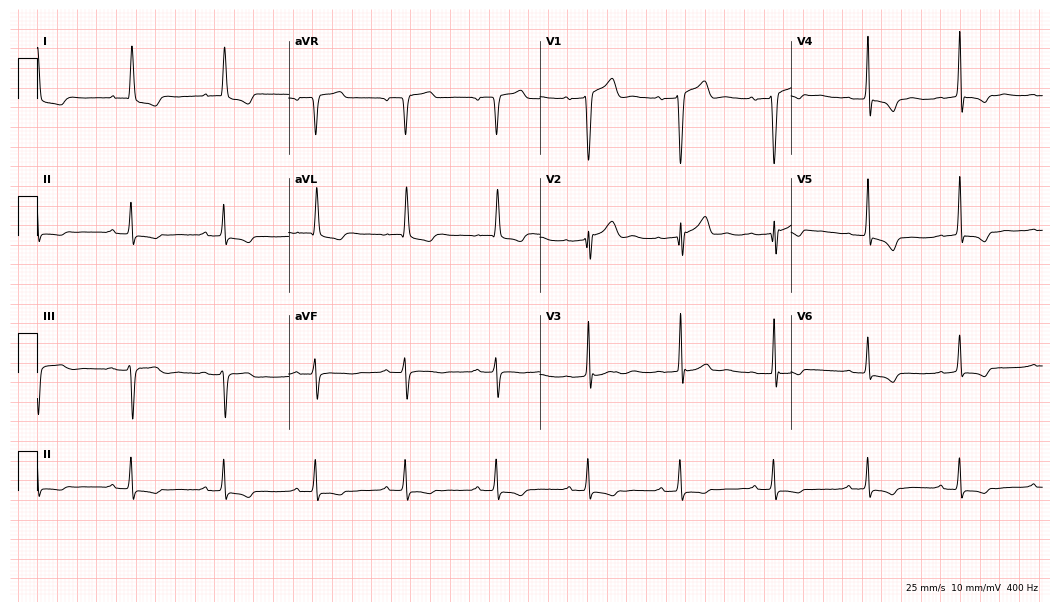
12-lead ECG (10.2-second recording at 400 Hz) from a 69-year-old female patient. Screened for six findings — first-degree AV block, right bundle branch block (RBBB), left bundle branch block (LBBB), sinus bradycardia, atrial fibrillation (AF), sinus tachycardia — none is recorded. Other findings, if any, are not listed.